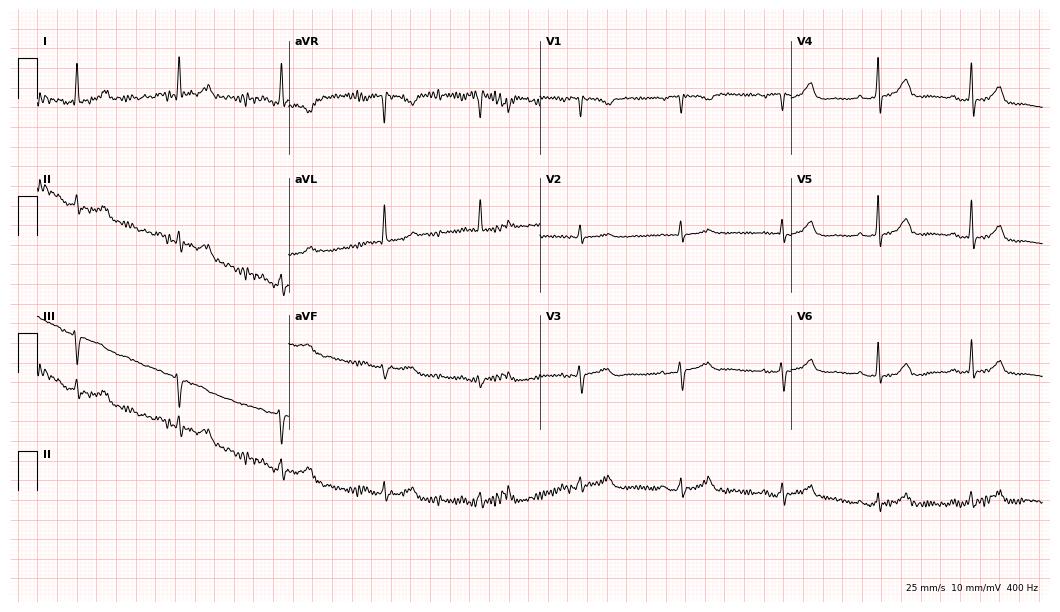
12-lead ECG (10.2-second recording at 400 Hz) from a female, 64 years old. Labelled as a normal ECG.